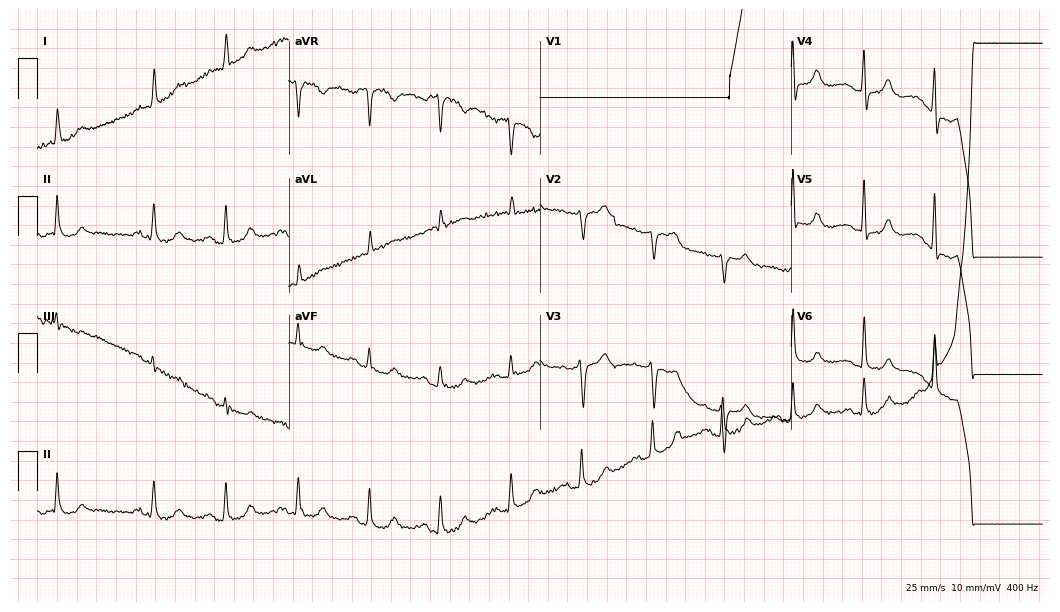
Electrocardiogram (10.2-second recording at 400 Hz), a woman, 79 years old. Of the six screened findings (first-degree AV block, right bundle branch block, left bundle branch block, sinus bradycardia, atrial fibrillation, sinus tachycardia), none is recorded. Other findings, if any, are not listed.